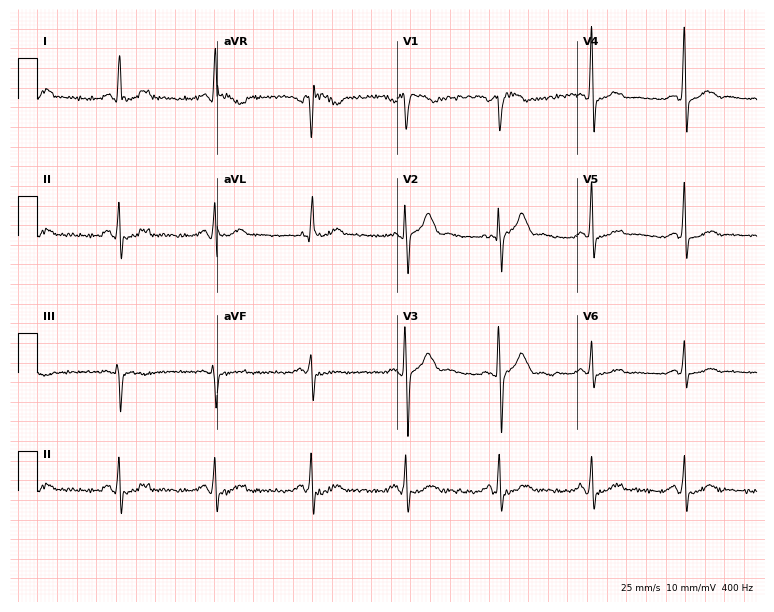
Standard 12-lead ECG recorded from a 63-year-old male patient (7.3-second recording at 400 Hz). None of these six findings is recorded: first-degree AV block, right bundle branch block, left bundle branch block, sinus bradycardia, atrial fibrillation, sinus tachycardia.